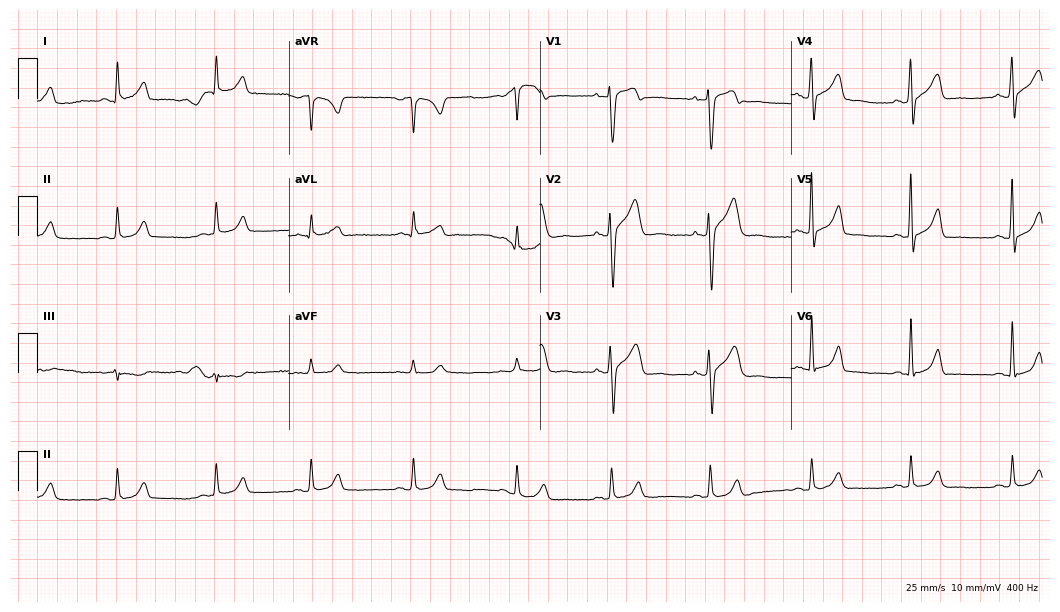
Standard 12-lead ECG recorded from a 42-year-old male (10.2-second recording at 400 Hz). None of these six findings is recorded: first-degree AV block, right bundle branch block, left bundle branch block, sinus bradycardia, atrial fibrillation, sinus tachycardia.